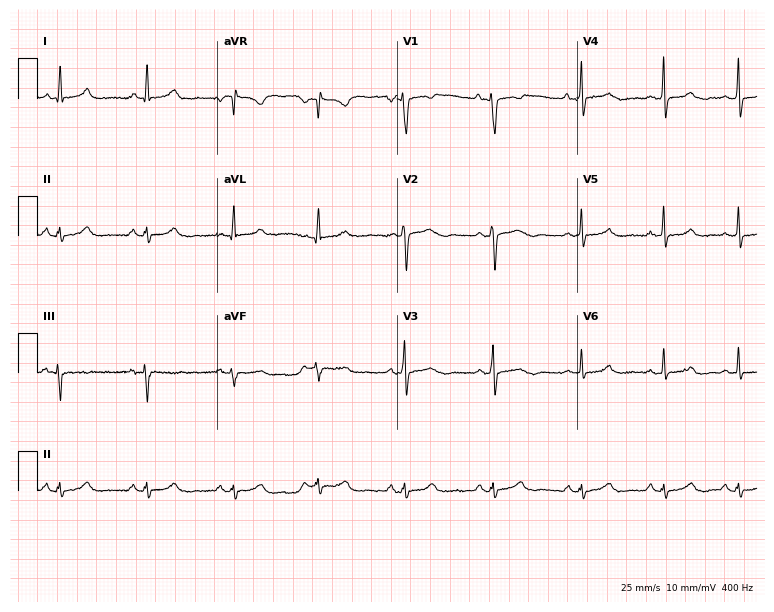
ECG (7.3-second recording at 400 Hz) — a female patient, 31 years old. Screened for six findings — first-degree AV block, right bundle branch block, left bundle branch block, sinus bradycardia, atrial fibrillation, sinus tachycardia — none is recorded.